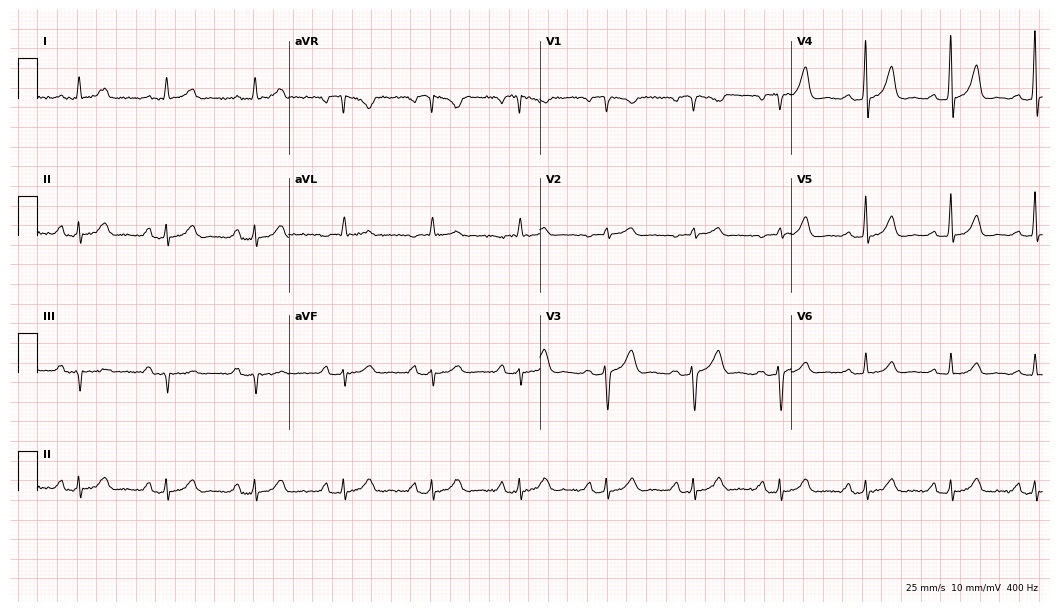
Resting 12-lead electrocardiogram (10.2-second recording at 400 Hz). Patient: a 55-year-old woman. Read as a normal ECG.